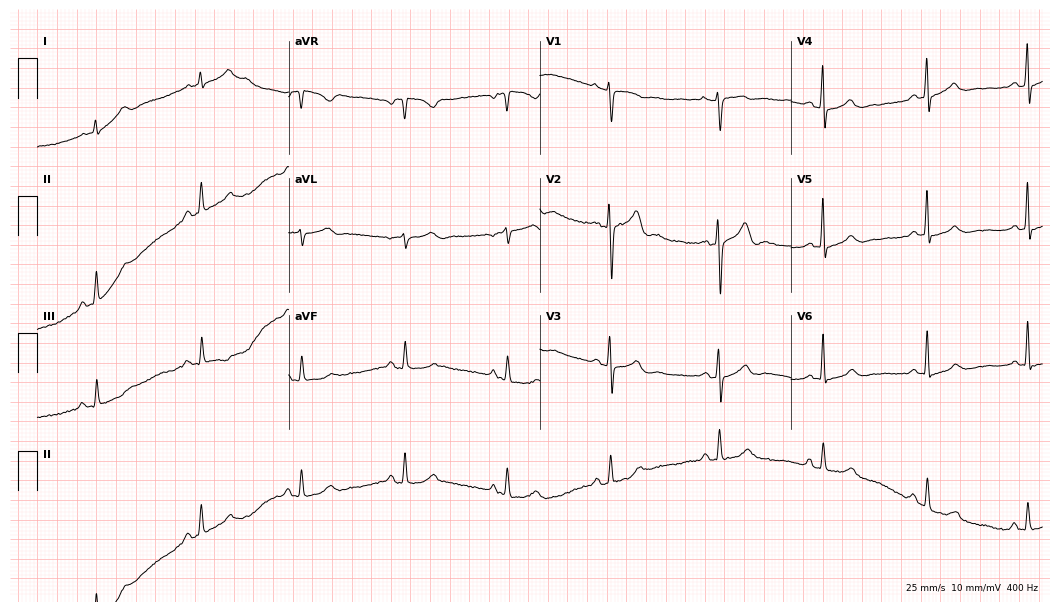
12-lead ECG from a 41-year-old male patient (10.2-second recording at 400 Hz). Recorded interpretation: within normal limits.